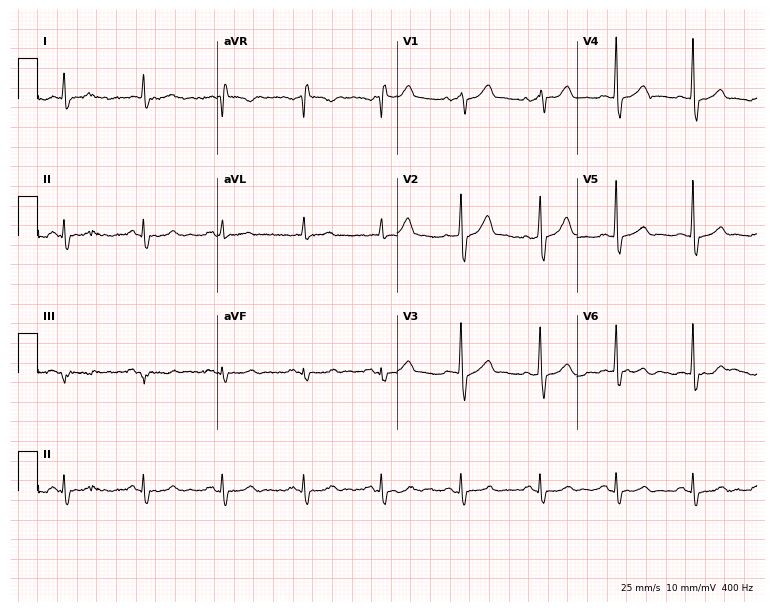
Standard 12-lead ECG recorded from a female patient, 58 years old (7.3-second recording at 400 Hz). Read as a normal ECG.